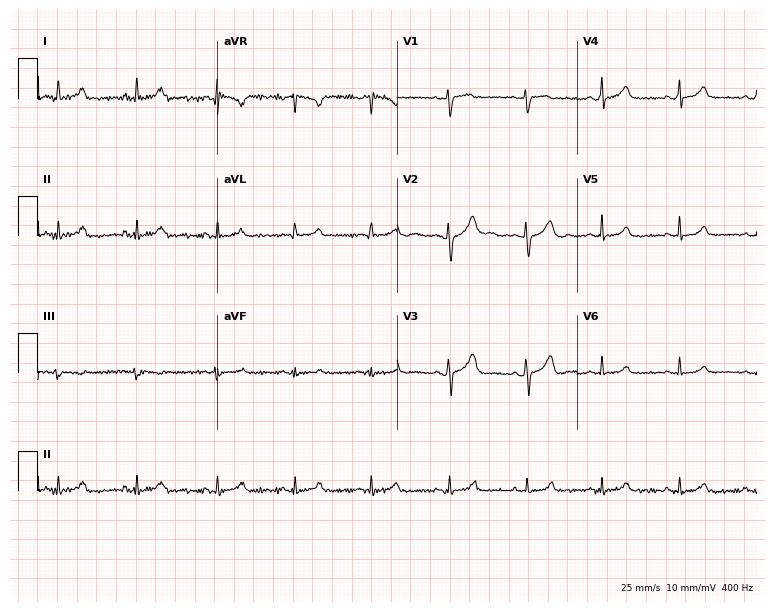
ECG — a 36-year-old female patient. Screened for six findings — first-degree AV block, right bundle branch block, left bundle branch block, sinus bradycardia, atrial fibrillation, sinus tachycardia — none is recorded. Other findings, if any, are not listed.